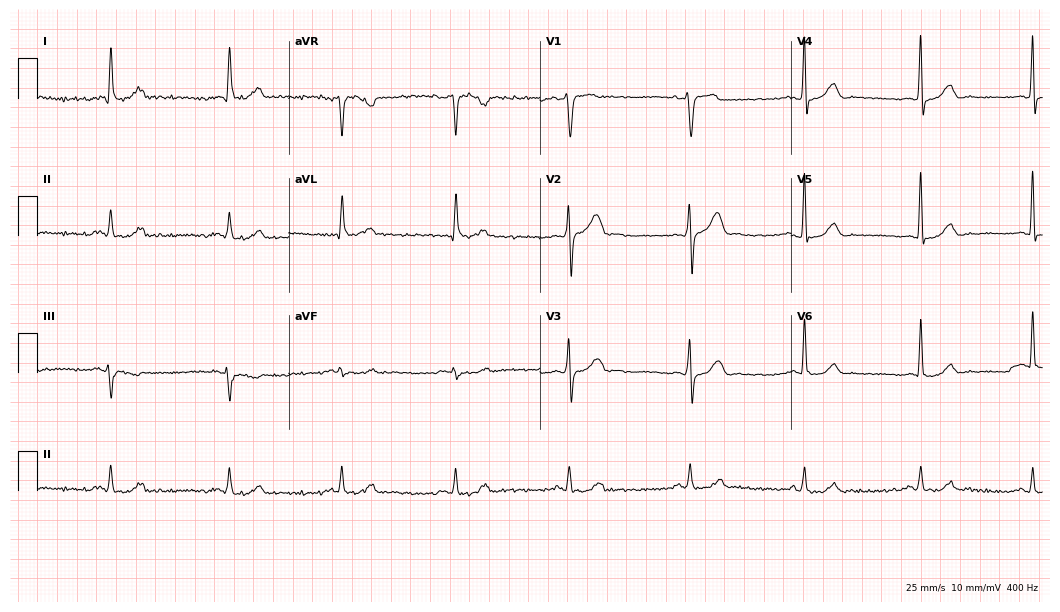
12-lead ECG (10.2-second recording at 400 Hz) from a 68-year-old male patient. Labelled as a normal ECG.